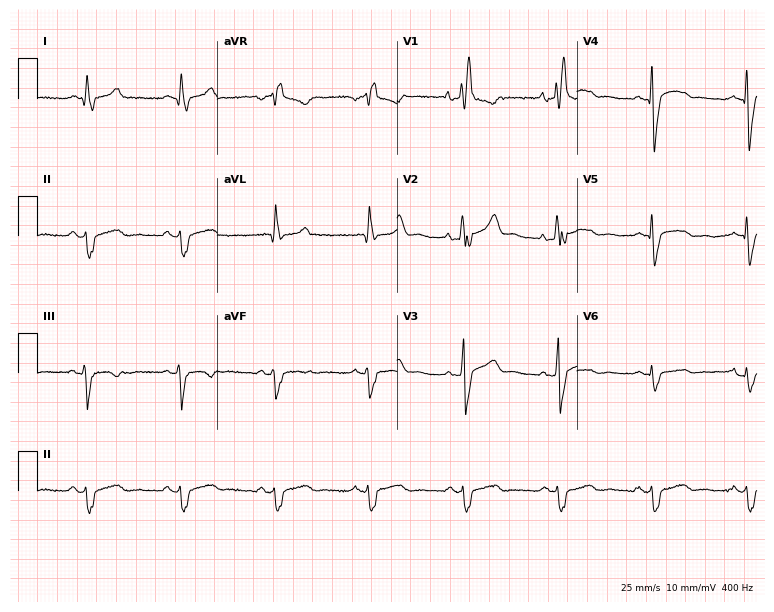
Standard 12-lead ECG recorded from a 55-year-old man. The tracing shows right bundle branch block.